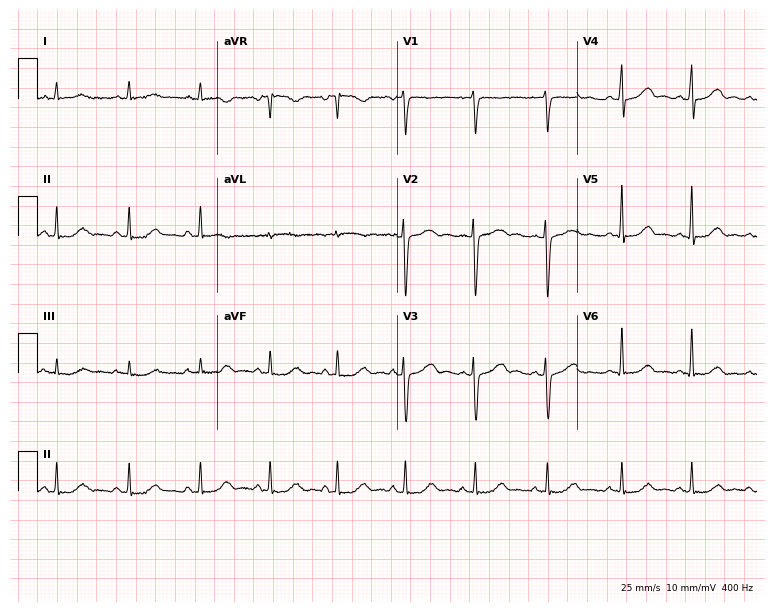
Resting 12-lead electrocardiogram (7.3-second recording at 400 Hz). Patient: a female, 35 years old. None of these six findings is recorded: first-degree AV block, right bundle branch block, left bundle branch block, sinus bradycardia, atrial fibrillation, sinus tachycardia. Findings outside these six are not listed.